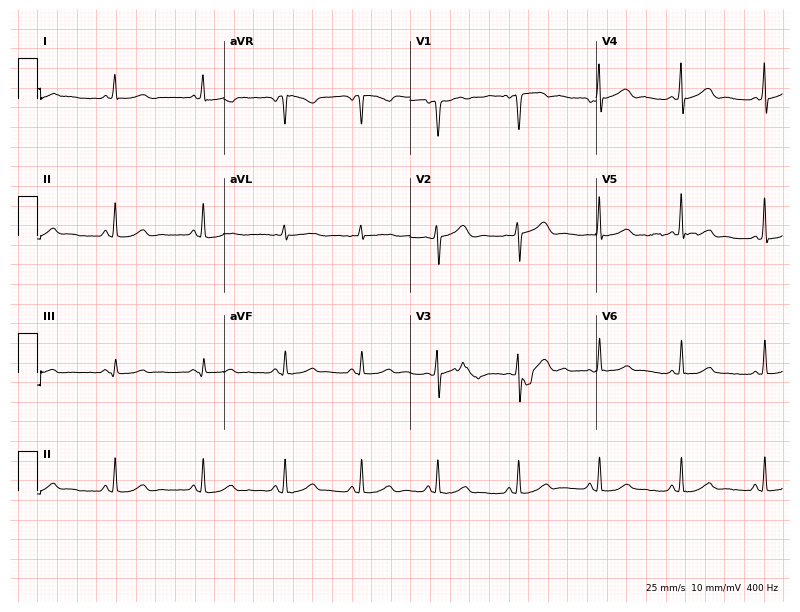
12-lead ECG from a 48-year-old female (7.6-second recording at 400 Hz). No first-degree AV block, right bundle branch block (RBBB), left bundle branch block (LBBB), sinus bradycardia, atrial fibrillation (AF) or sinus tachycardia recorded for this tracing.